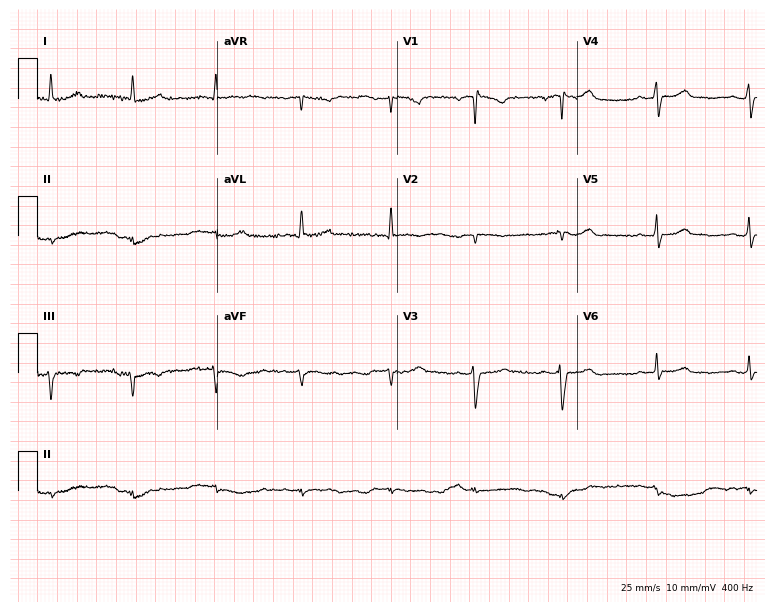
Standard 12-lead ECG recorded from a 37-year-old female (7.3-second recording at 400 Hz). None of these six findings is recorded: first-degree AV block, right bundle branch block, left bundle branch block, sinus bradycardia, atrial fibrillation, sinus tachycardia. Findings outside these six are not listed.